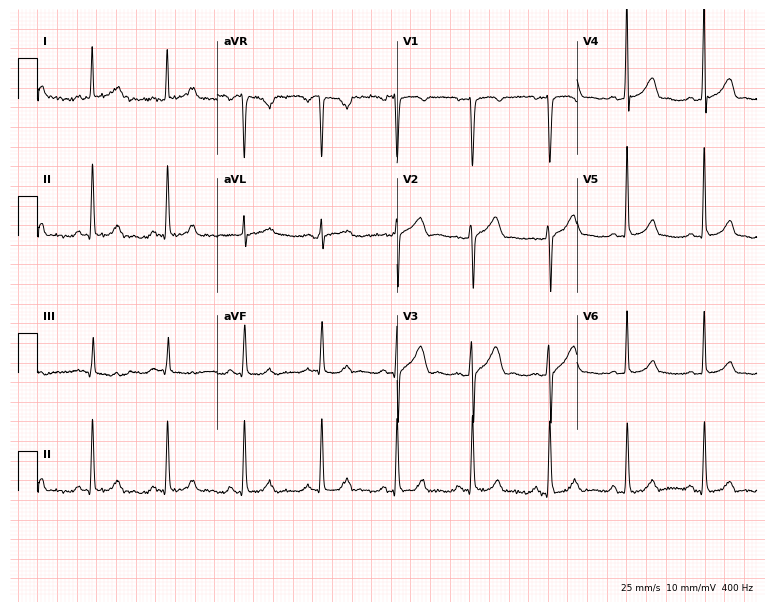
Resting 12-lead electrocardiogram. Patient: a 52-year-old male. Read as a normal ECG.